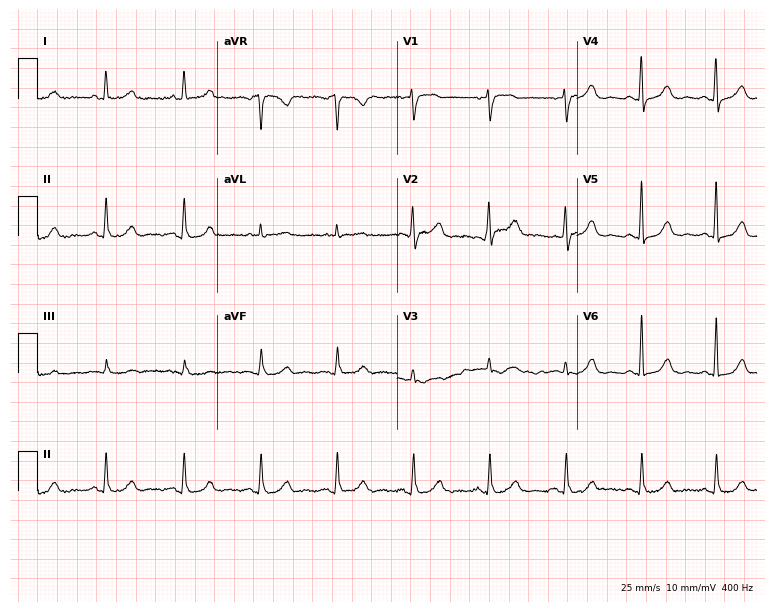
Resting 12-lead electrocardiogram. Patient: a 63-year-old woman. Read as a normal ECG.